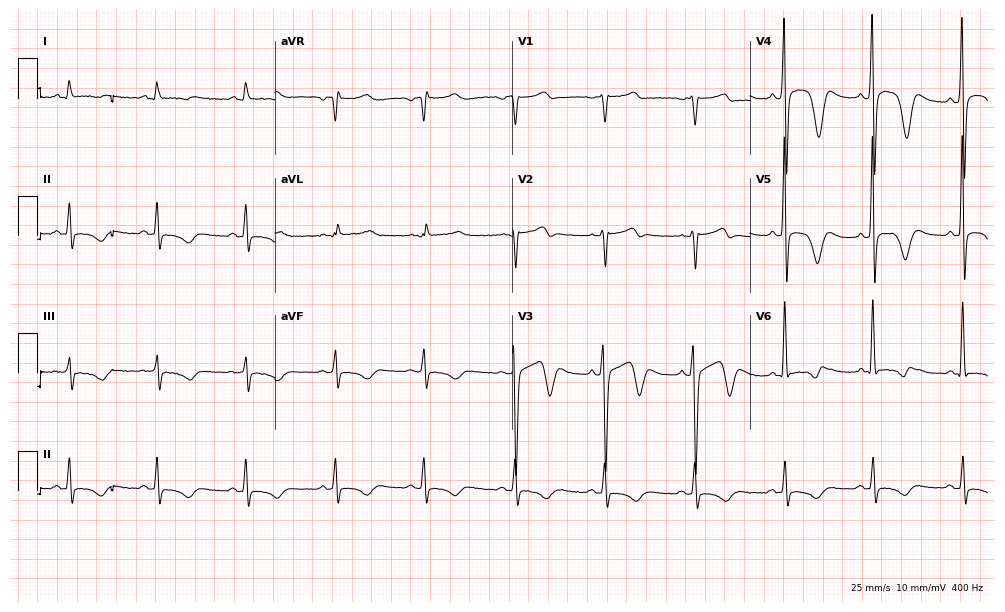
12-lead ECG from a 56-year-old male. No first-degree AV block, right bundle branch block, left bundle branch block, sinus bradycardia, atrial fibrillation or sinus tachycardia recorded for this tracing. Other findings, if any, are not listed.